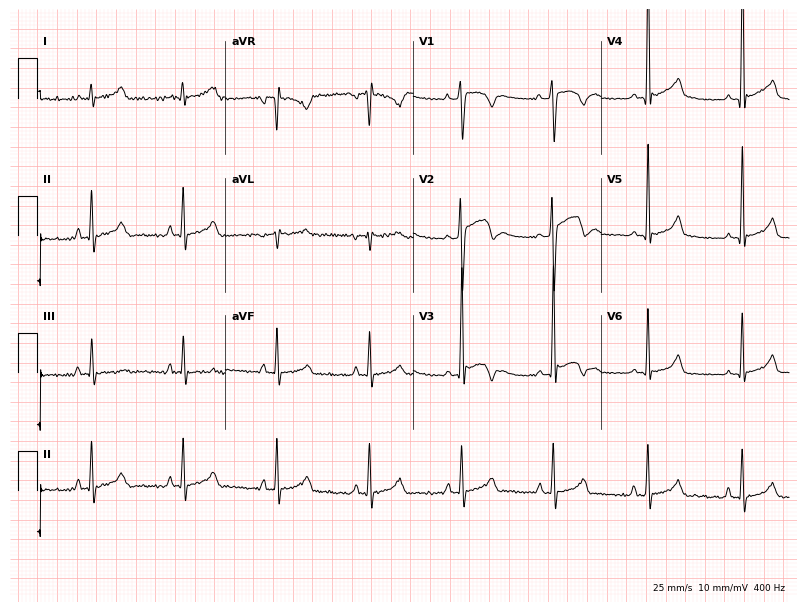
Electrocardiogram (7.7-second recording at 400 Hz), a 20-year-old male patient. Of the six screened findings (first-degree AV block, right bundle branch block, left bundle branch block, sinus bradycardia, atrial fibrillation, sinus tachycardia), none is recorded.